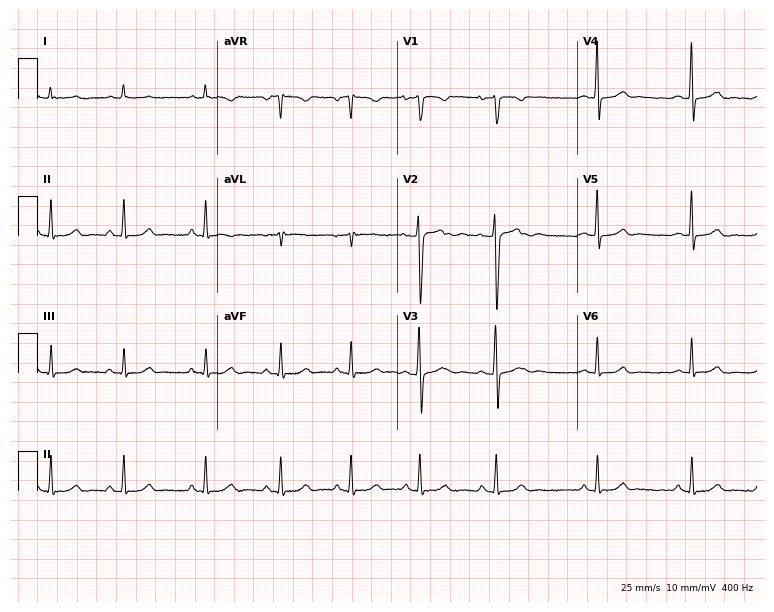
Standard 12-lead ECG recorded from a 19-year-old female. Read as a normal ECG.